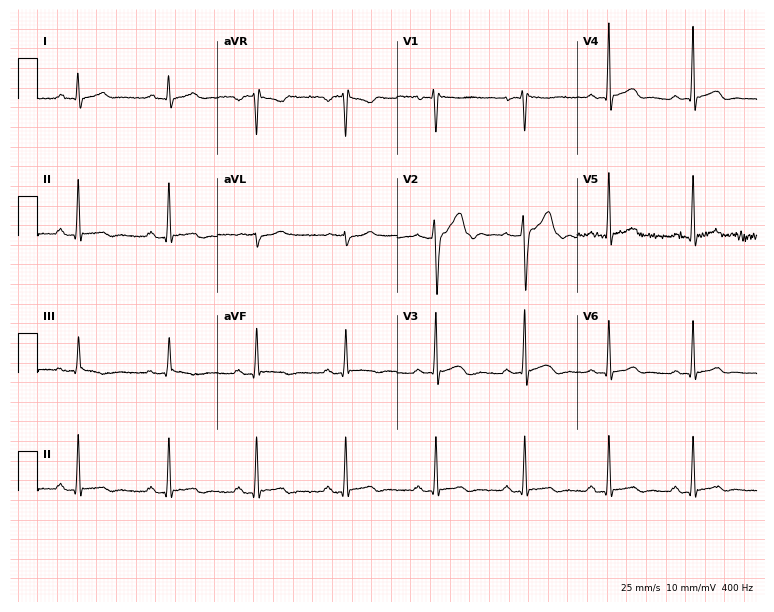
Resting 12-lead electrocardiogram (7.3-second recording at 400 Hz). Patient: a man, 50 years old. Read as a normal ECG.